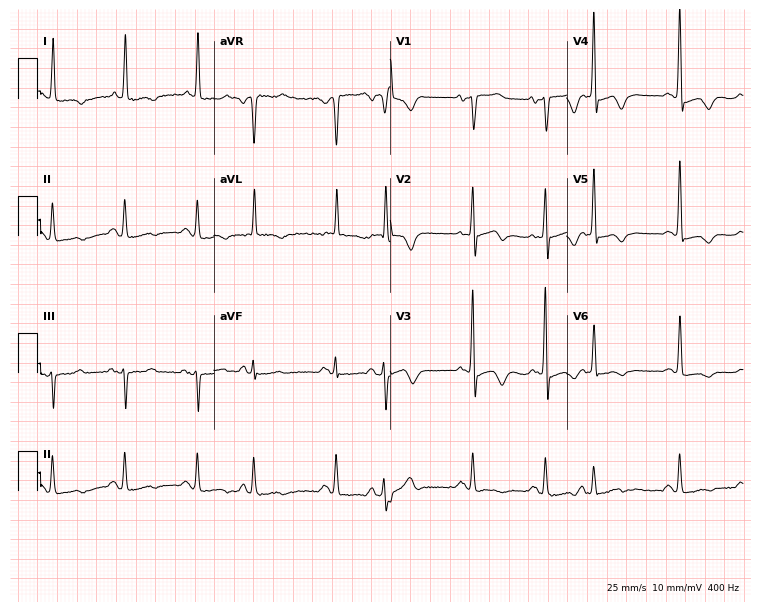
ECG (7.2-second recording at 400 Hz) — a woman, 59 years old. Screened for six findings — first-degree AV block, right bundle branch block, left bundle branch block, sinus bradycardia, atrial fibrillation, sinus tachycardia — none is recorded. Findings outside these six are not listed.